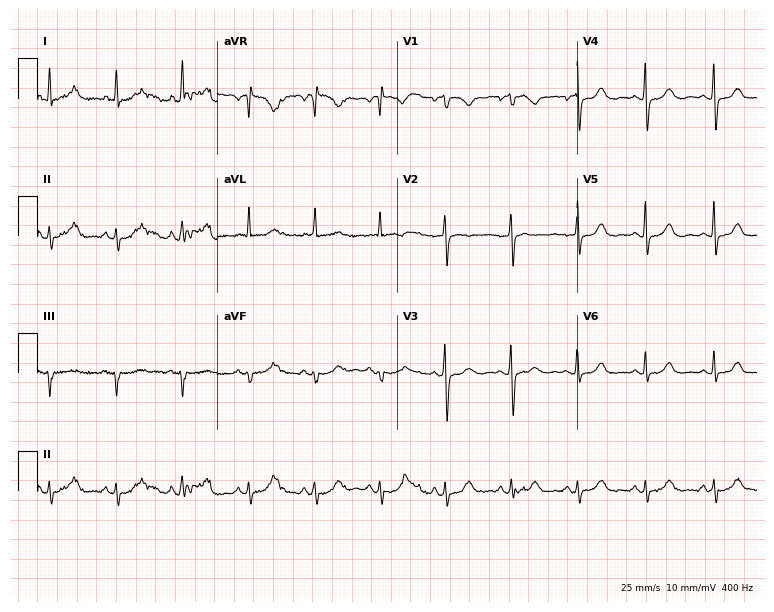
12-lead ECG (7.3-second recording at 400 Hz) from a female, 68 years old. Labelled as a normal ECG.